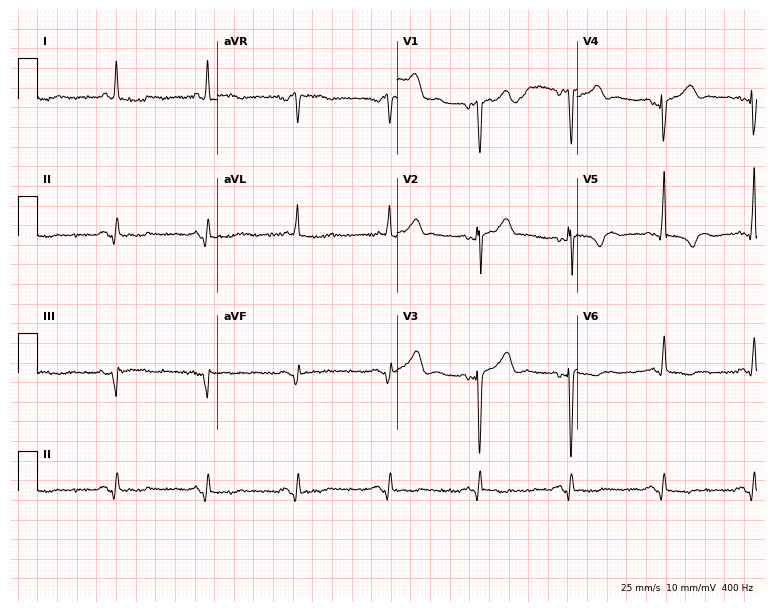
12-lead ECG from a male, 69 years old. No first-degree AV block, right bundle branch block, left bundle branch block, sinus bradycardia, atrial fibrillation or sinus tachycardia recorded for this tracing.